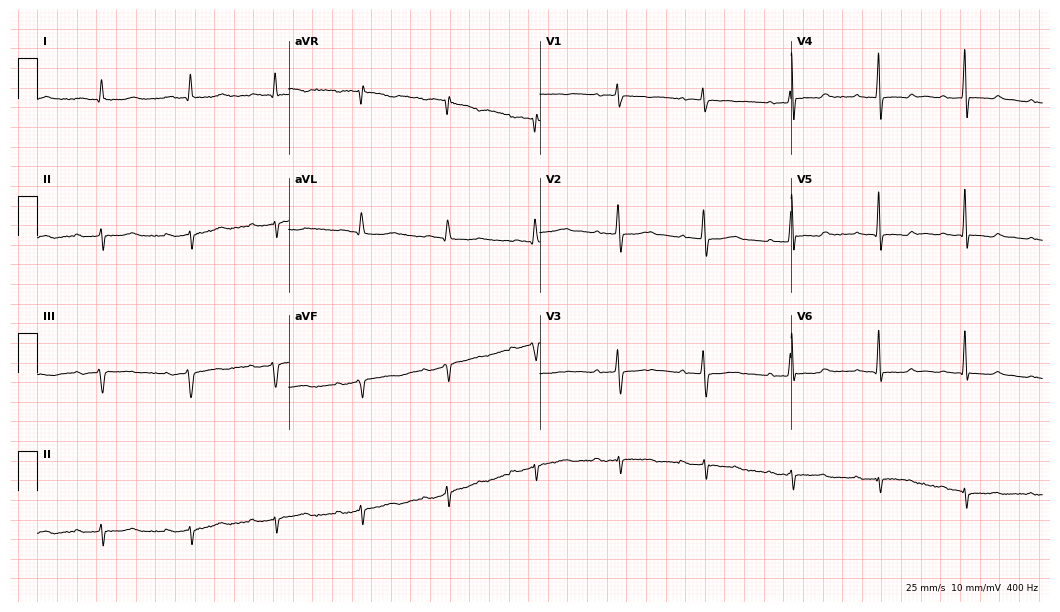
12-lead ECG from a 61-year-old female. Screened for six findings — first-degree AV block, right bundle branch block, left bundle branch block, sinus bradycardia, atrial fibrillation, sinus tachycardia — none is recorded. Only these six findings were labelled.